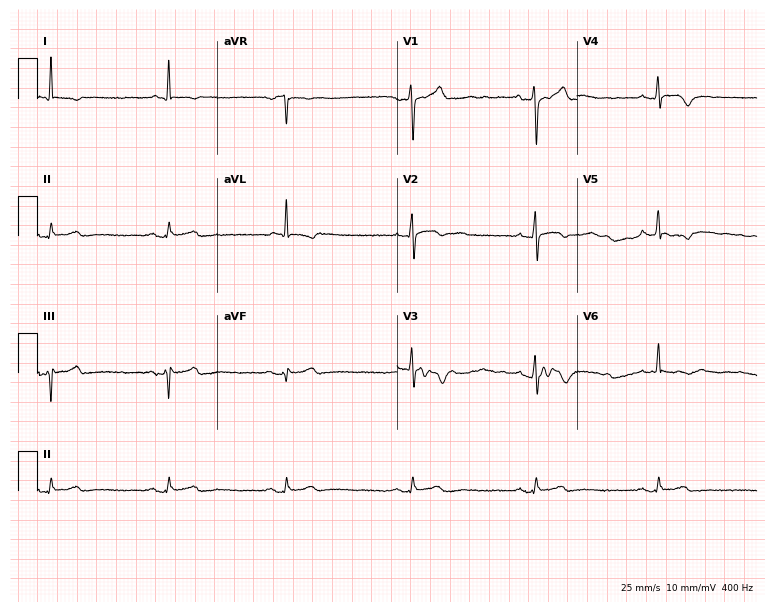
ECG — a 60-year-old man. Findings include sinus bradycardia (a sinus rate of 50 beats per minute or less).